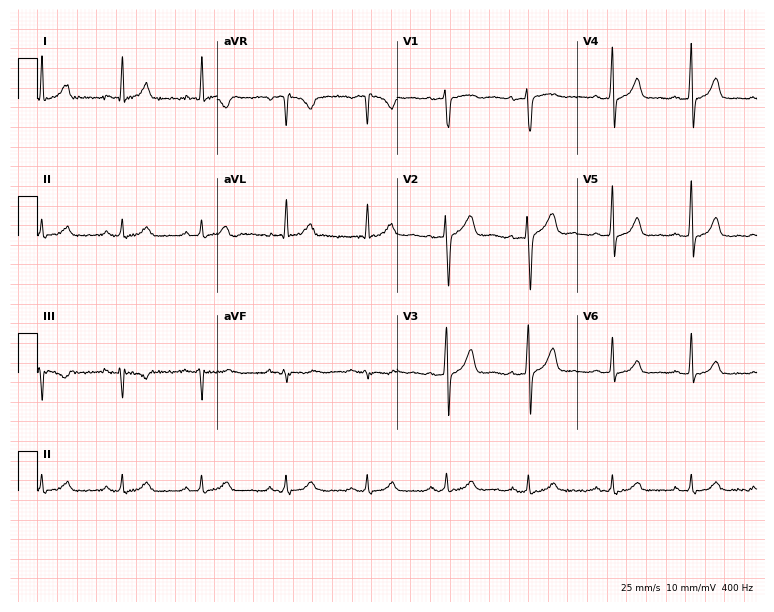
Resting 12-lead electrocardiogram (7.3-second recording at 400 Hz). Patient: a woman, 43 years old. Read as a normal ECG.